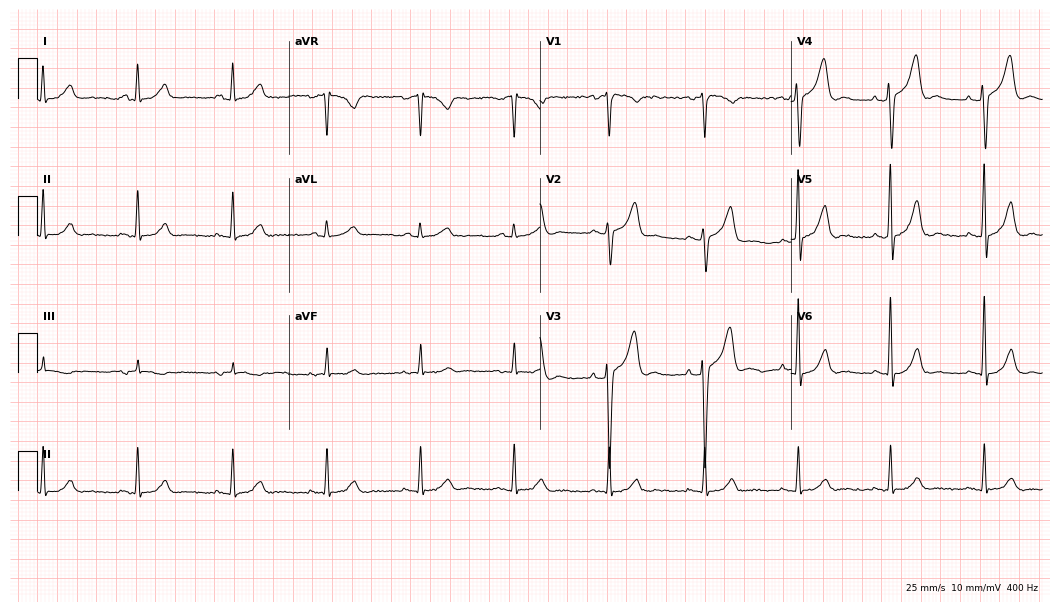
ECG (10.2-second recording at 400 Hz) — a man, 60 years old. Labelled as a normal ECG.